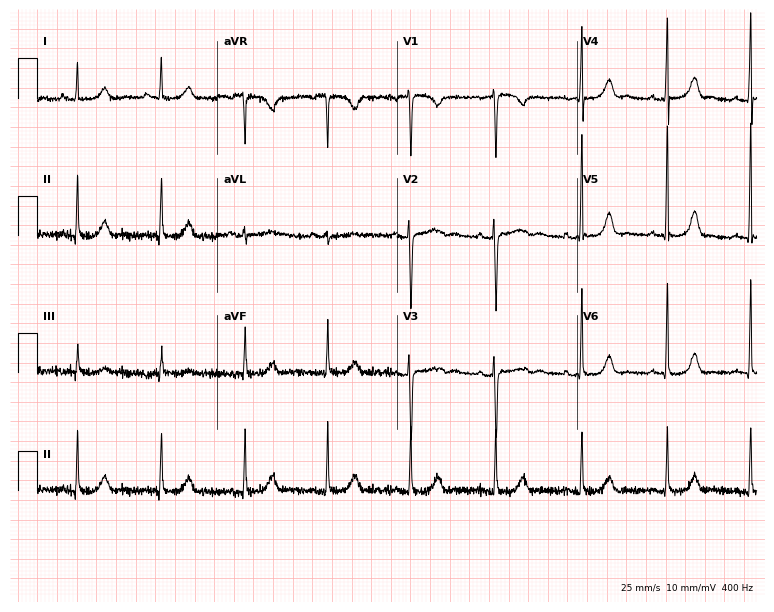
Standard 12-lead ECG recorded from a female, 47 years old (7.3-second recording at 400 Hz). None of these six findings is recorded: first-degree AV block, right bundle branch block (RBBB), left bundle branch block (LBBB), sinus bradycardia, atrial fibrillation (AF), sinus tachycardia. Other findings, if any, are not listed.